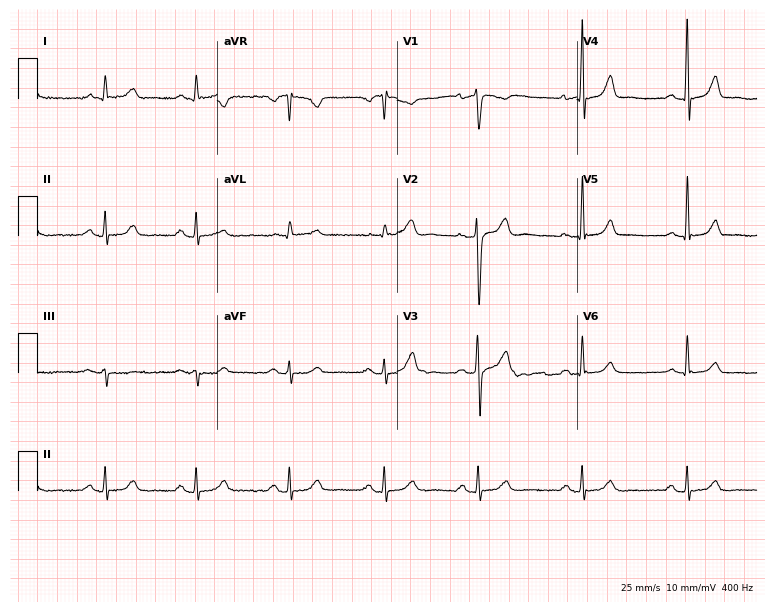
Resting 12-lead electrocardiogram (7.3-second recording at 400 Hz). Patient: a 45-year-old male. None of these six findings is recorded: first-degree AV block, right bundle branch block, left bundle branch block, sinus bradycardia, atrial fibrillation, sinus tachycardia.